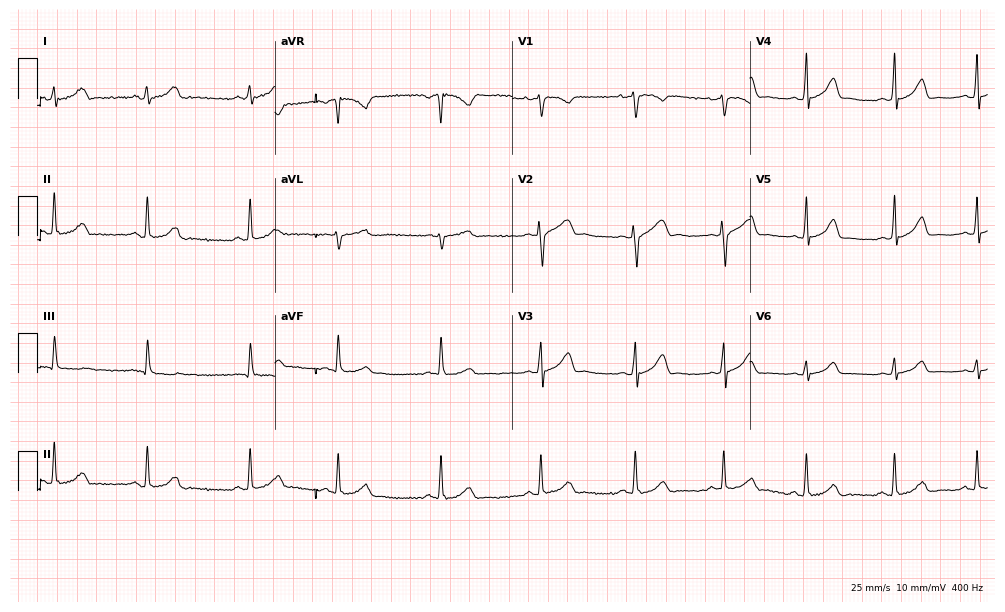
Electrocardiogram (9.7-second recording at 400 Hz), a 27-year-old female patient. Of the six screened findings (first-degree AV block, right bundle branch block (RBBB), left bundle branch block (LBBB), sinus bradycardia, atrial fibrillation (AF), sinus tachycardia), none is recorded.